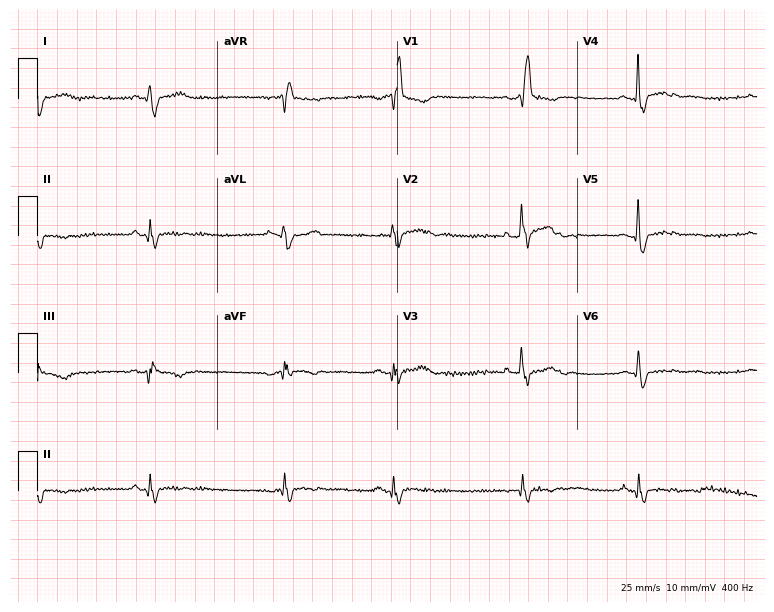
Standard 12-lead ECG recorded from a male, 43 years old. The tracing shows right bundle branch block (RBBB), sinus bradycardia (a sinus rate of 50 beats per minute or less).